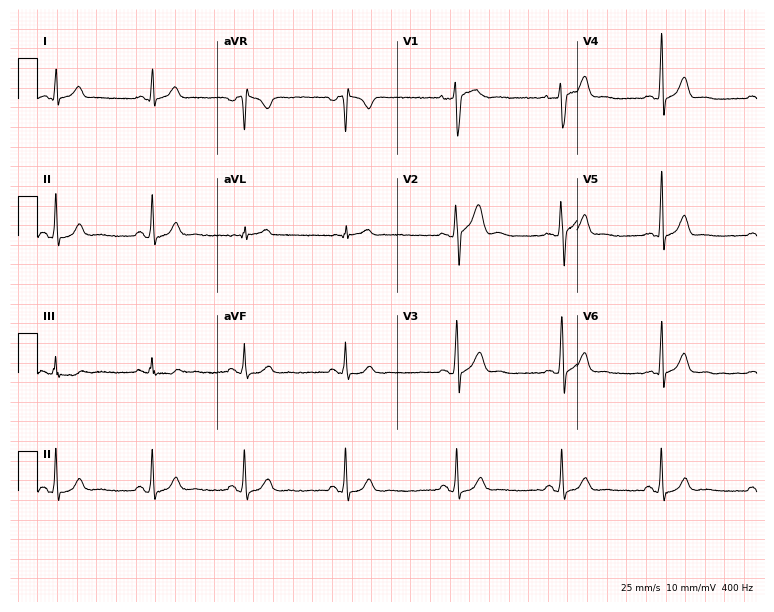
12-lead ECG from a 32-year-old male patient. No first-degree AV block, right bundle branch block, left bundle branch block, sinus bradycardia, atrial fibrillation or sinus tachycardia recorded for this tracing. Other findings, if any, are not listed.